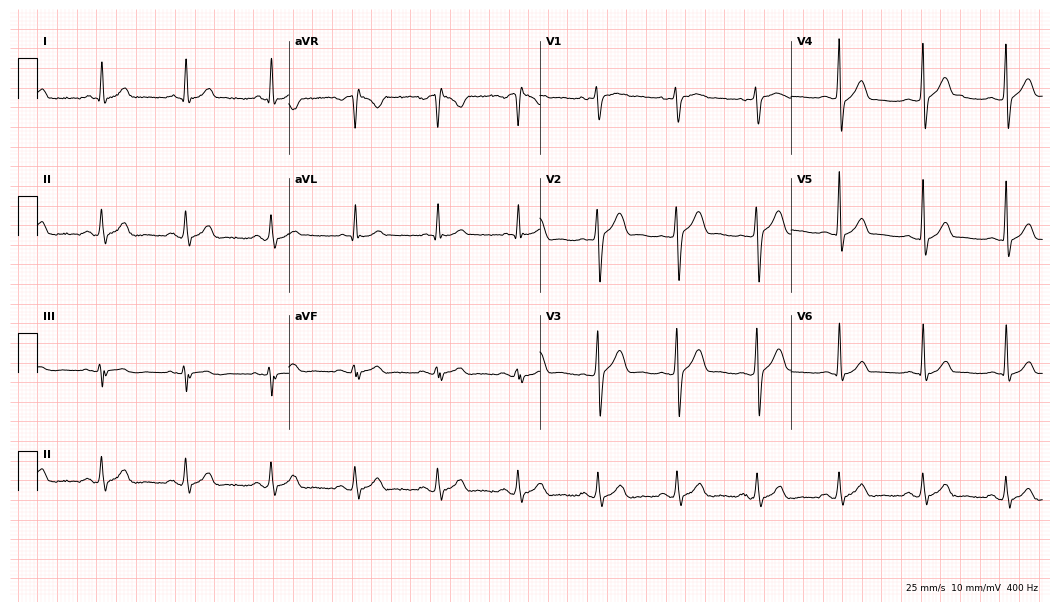
12-lead ECG from a 30-year-old male patient (10.2-second recording at 400 Hz). Recorded interpretation: within normal limits.